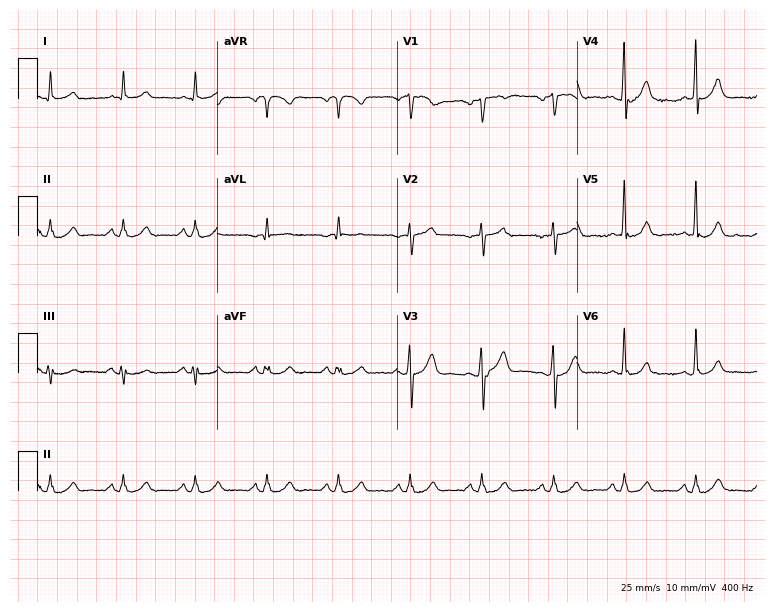
ECG — a male patient, 72 years old. Screened for six findings — first-degree AV block, right bundle branch block (RBBB), left bundle branch block (LBBB), sinus bradycardia, atrial fibrillation (AF), sinus tachycardia — none is recorded.